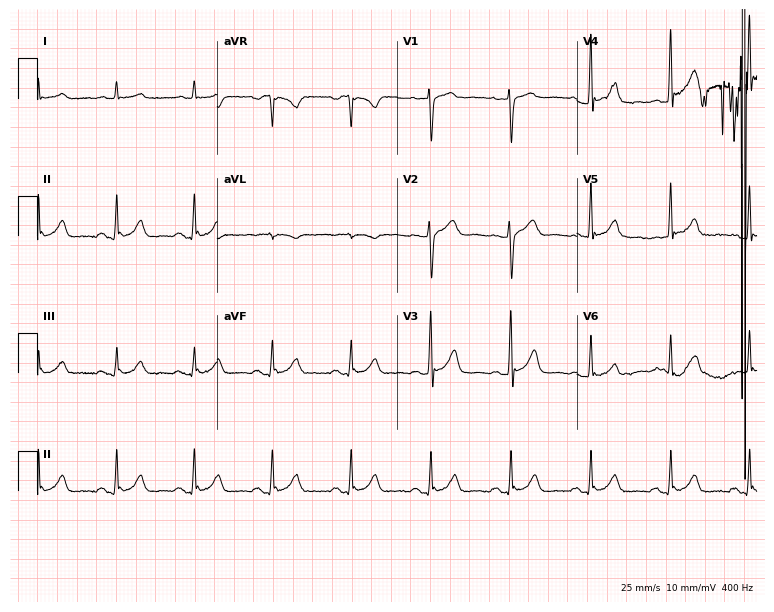
12-lead ECG (7.3-second recording at 400 Hz) from a 57-year-old male patient. Labelled as a normal ECG.